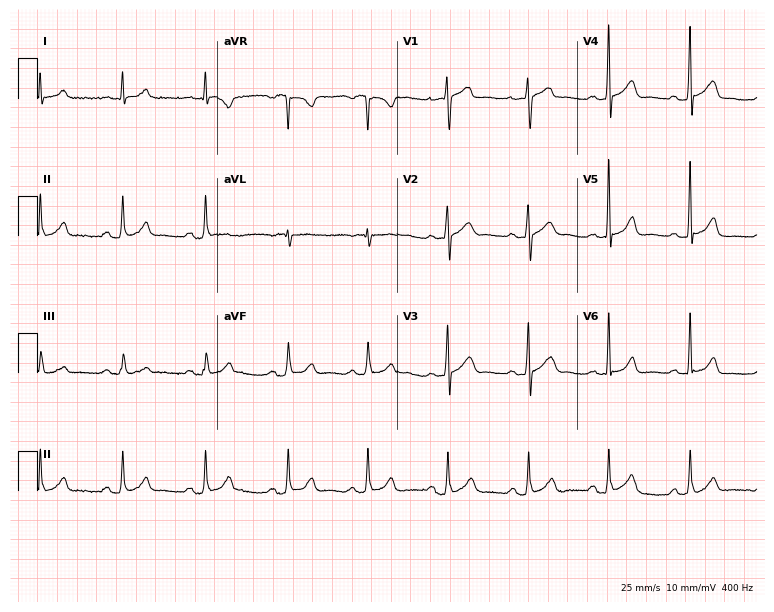
Standard 12-lead ECG recorded from a 57-year-old female patient. Read as a normal ECG.